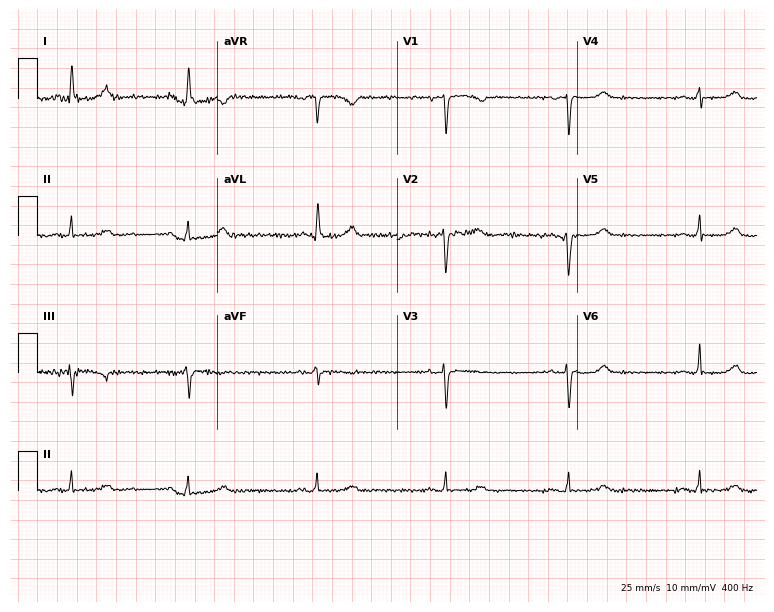
Standard 12-lead ECG recorded from a female, 67 years old. The tracing shows sinus bradycardia (a sinus rate of 50 beats per minute or less).